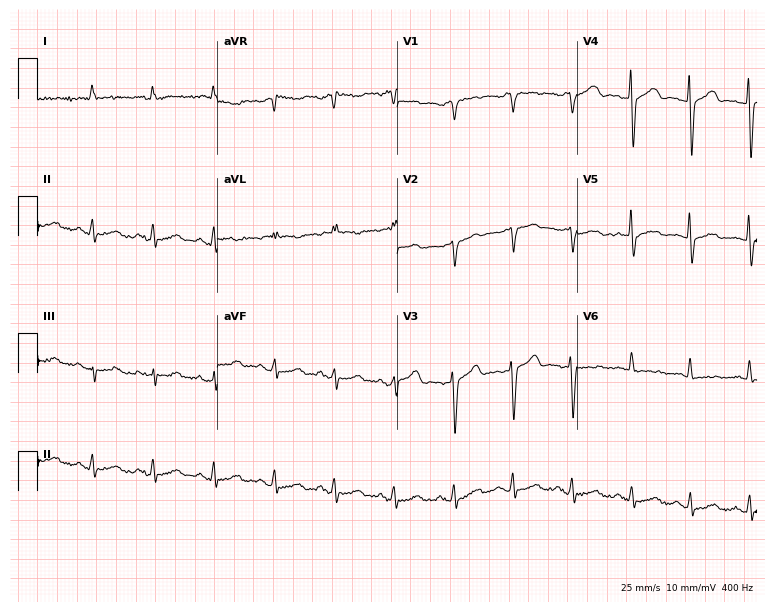
Electrocardiogram, a woman, 76 years old. Of the six screened findings (first-degree AV block, right bundle branch block, left bundle branch block, sinus bradycardia, atrial fibrillation, sinus tachycardia), none is recorded.